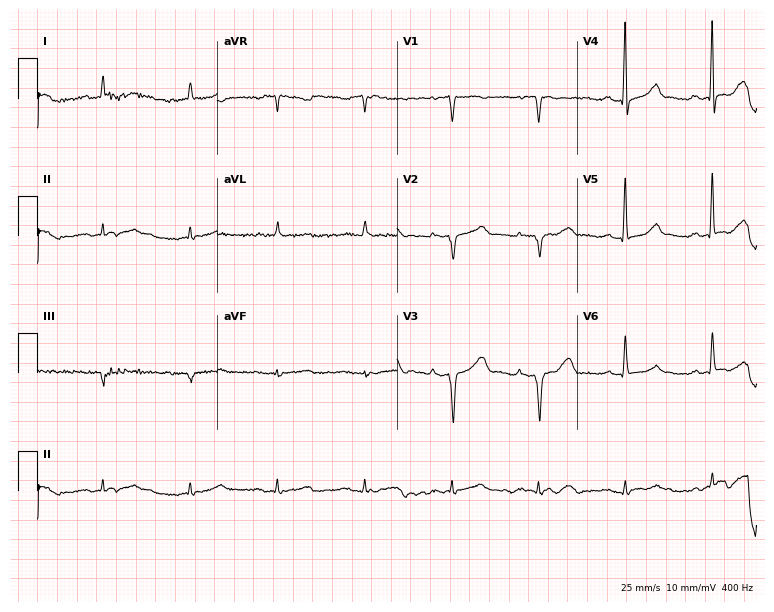
Resting 12-lead electrocardiogram (7.3-second recording at 400 Hz). Patient: a male, 74 years old. Read as a normal ECG.